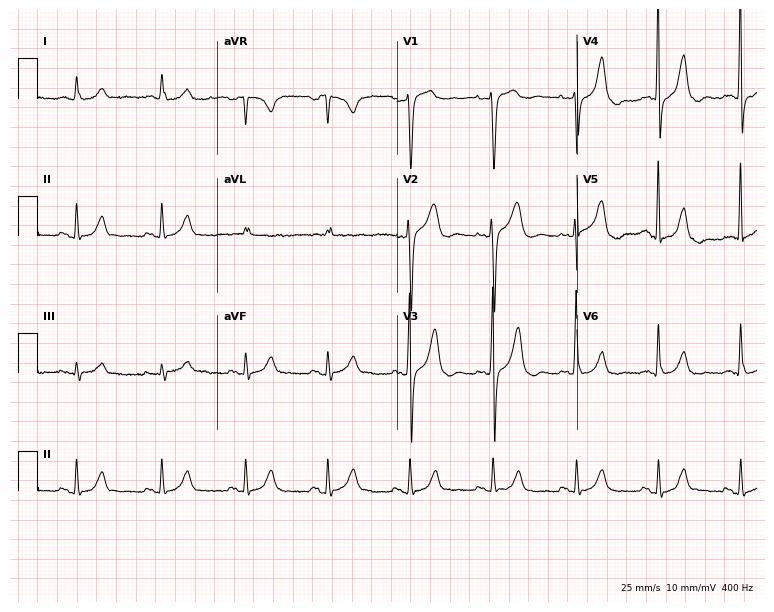
Resting 12-lead electrocardiogram (7.3-second recording at 400 Hz). Patient: a 47-year-old male. None of these six findings is recorded: first-degree AV block, right bundle branch block (RBBB), left bundle branch block (LBBB), sinus bradycardia, atrial fibrillation (AF), sinus tachycardia.